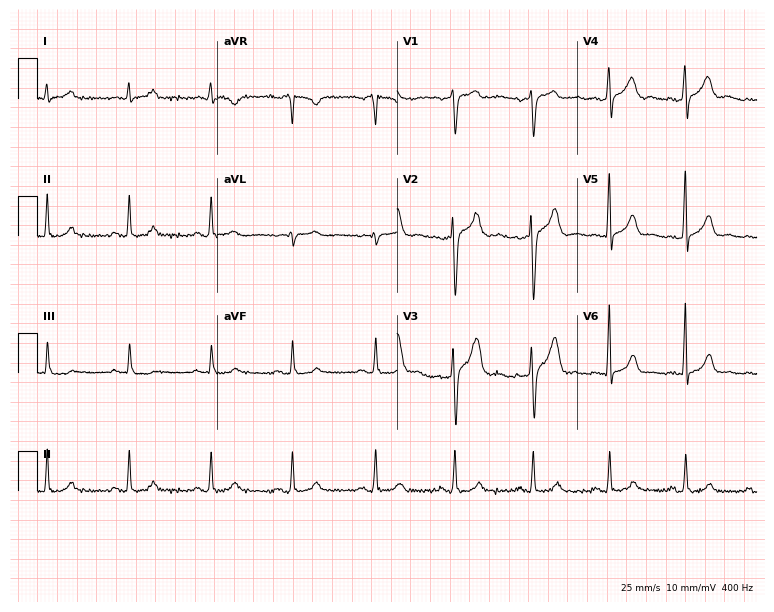
Resting 12-lead electrocardiogram. Patient: a 40-year-old male. None of these six findings is recorded: first-degree AV block, right bundle branch block, left bundle branch block, sinus bradycardia, atrial fibrillation, sinus tachycardia.